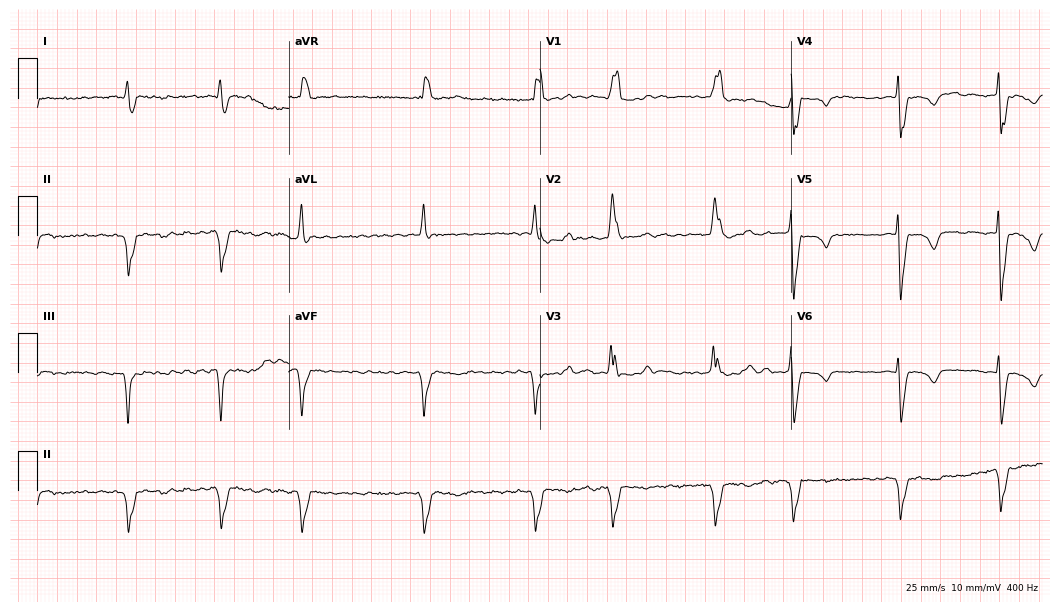
Electrocardiogram, a male, 84 years old. Interpretation includes right bundle branch block (RBBB), atrial fibrillation (AF).